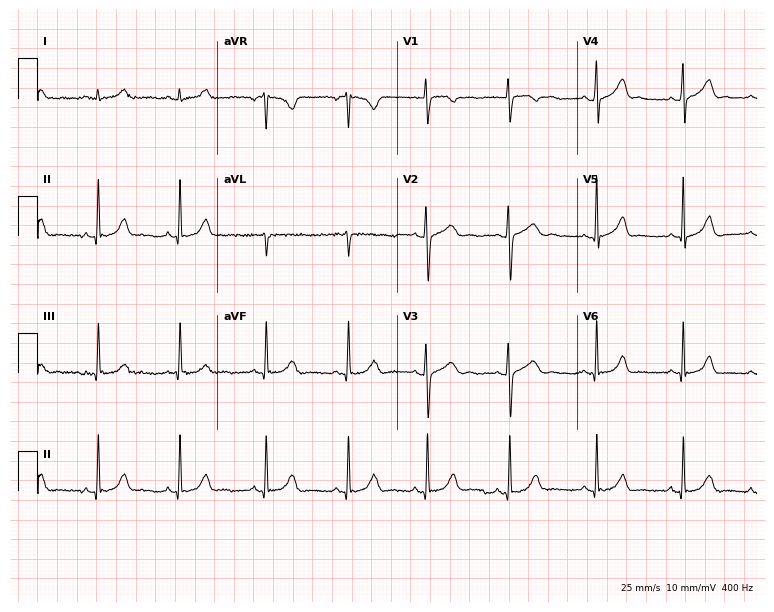
ECG (7.3-second recording at 400 Hz) — a 36-year-old female. Screened for six findings — first-degree AV block, right bundle branch block (RBBB), left bundle branch block (LBBB), sinus bradycardia, atrial fibrillation (AF), sinus tachycardia — none is recorded.